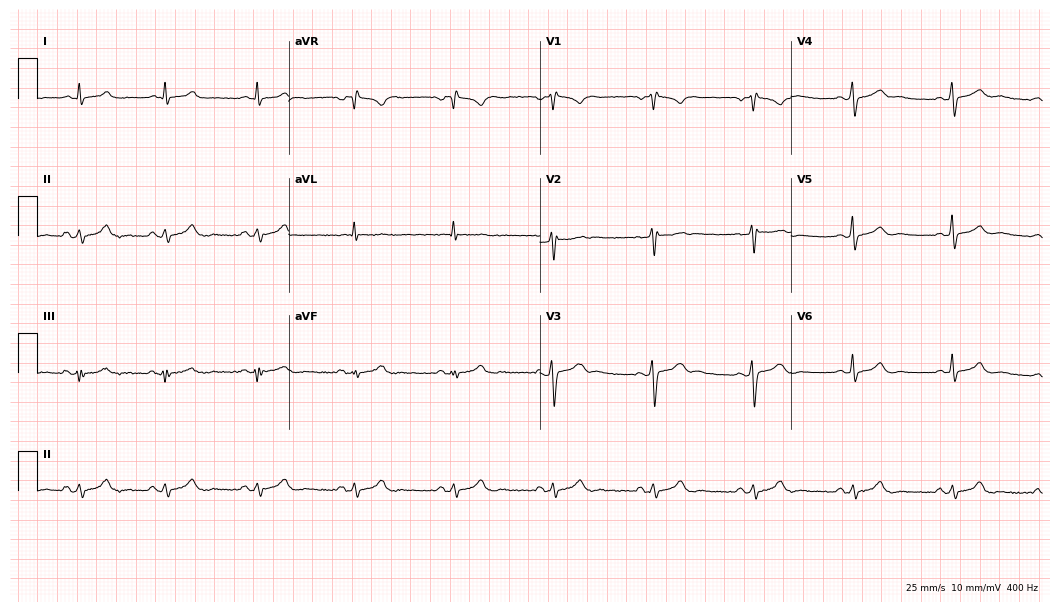
Electrocardiogram (10.2-second recording at 400 Hz), a 45-year-old male. Of the six screened findings (first-degree AV block, right bundle branch block, left bundle branch block, sinus bradycardia, atrial fibrillation, sinus tachycardia), none is recorded. Only these six findings were labelled.